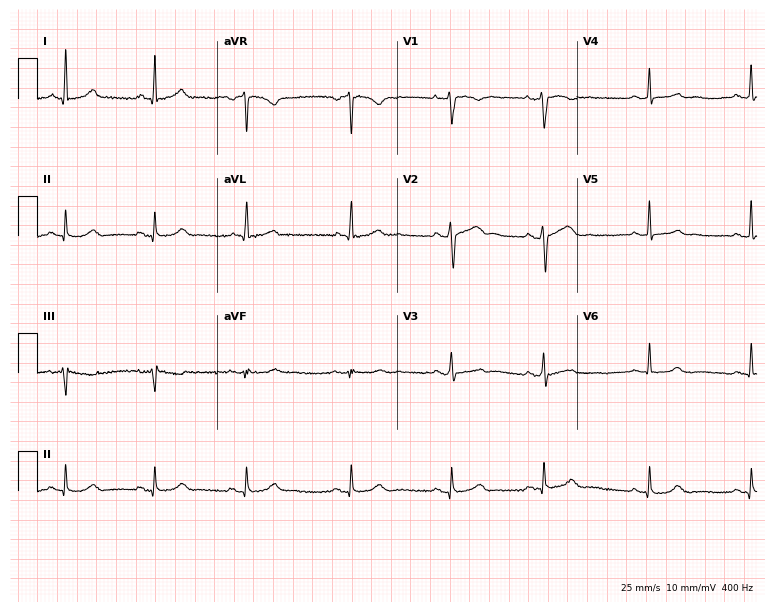
12-lead ECG from a male, 30 years old. Recorded interpretation: within normal limits.